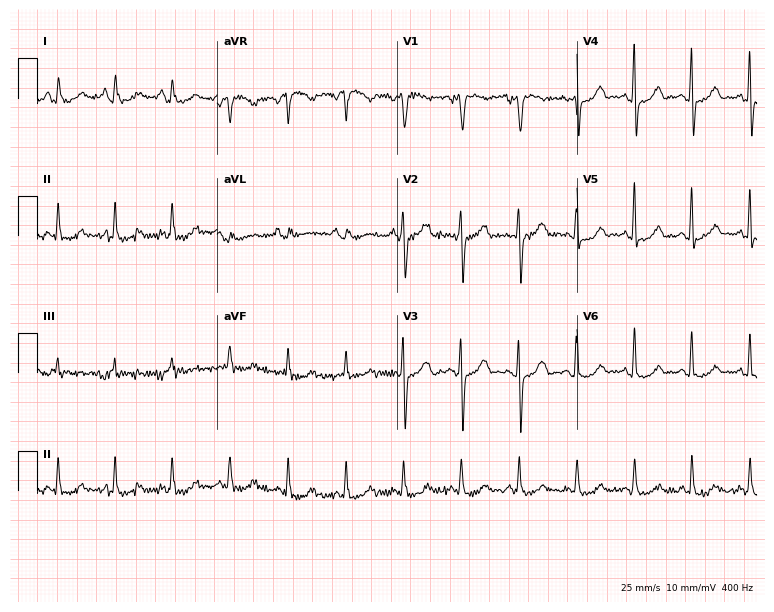
Resting 12-lead electrocardiogram. Patient: a 65-year-old female. None of these six findings is recorded: first-degree AV block, right bundle branch block, left bundle branch block, sinus bradycardia, atrial fibrillation, sinus tachycardia. Only these six findings were labelled.